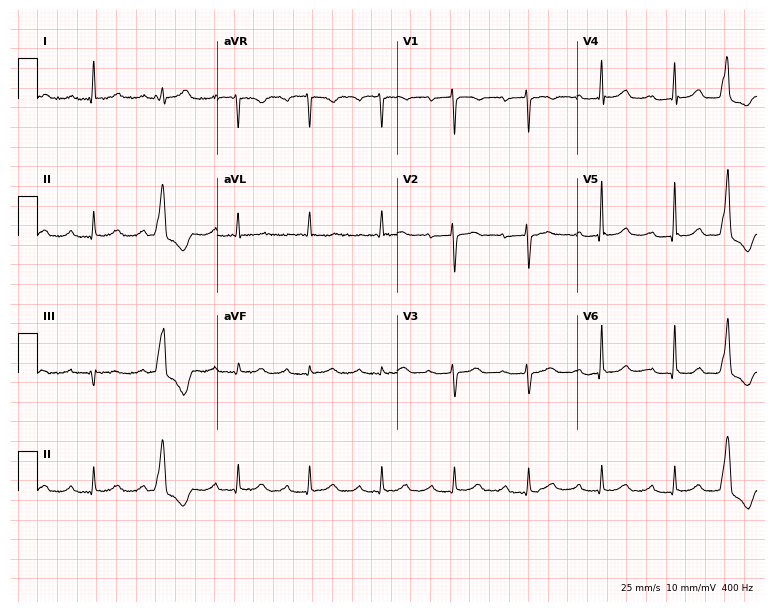
Standard 12-lead ECG recorded from a 54-year-old female patient. The tracing shows first-degree AV block.